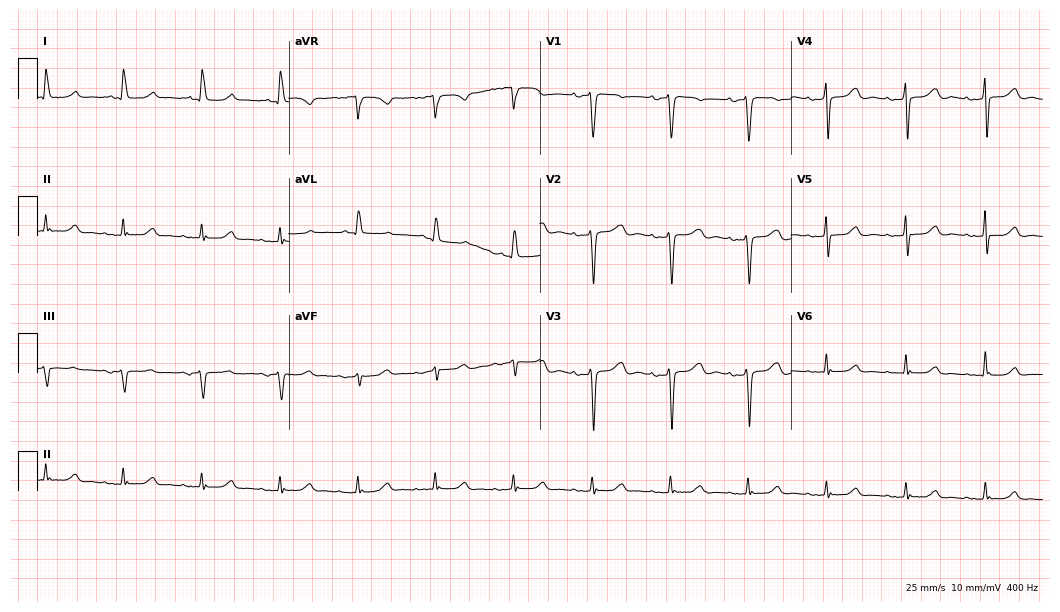
Electrocardiogram (10.2-second recording at 400 Hz), a 76-year-old woman. Overall reading on record: normal ECG.